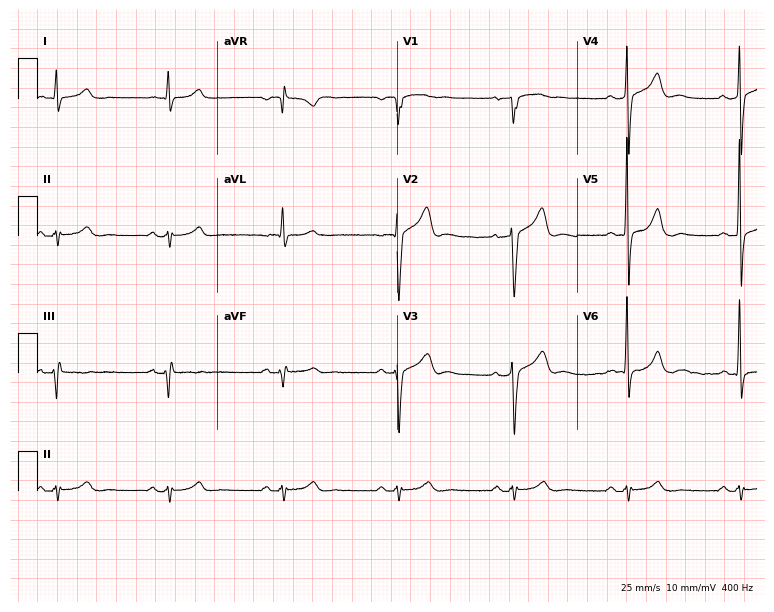
Resting 12-lead electrocardiogram (7.3-second recording at 400 Hz). Patient: a male, 72 years old. Read as a normal ECG.